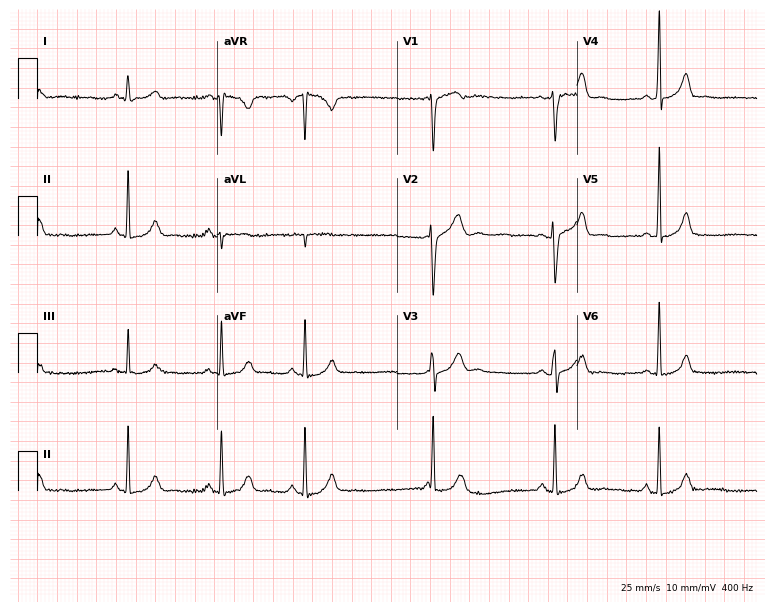
12-lead ECG (7.3-second recording at 400 Hz) from a female, 24 years old. Labelled as a normal ECG.